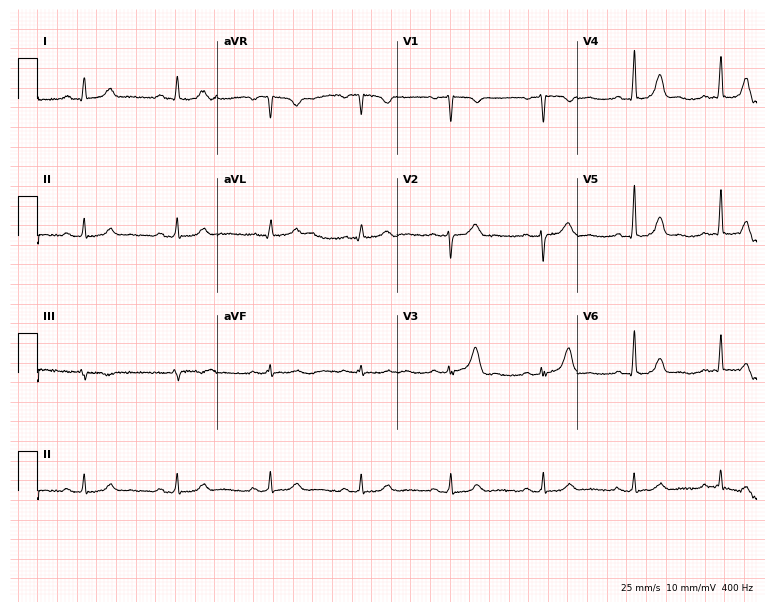
12-lead ECG from a female patient, 40 years old (7.3-second recording at 400 Hz). Recorded interpretation: within normal limits.